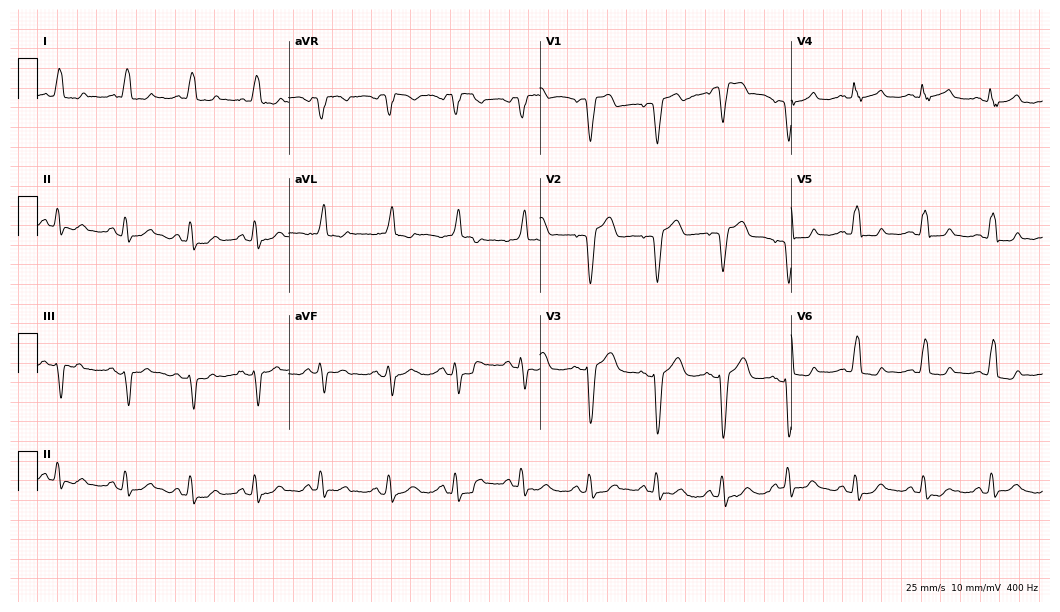
Resting 12-lead electrocardiogram. Patient: a woman, 61 years old. The tracing shows left bundle branch block.